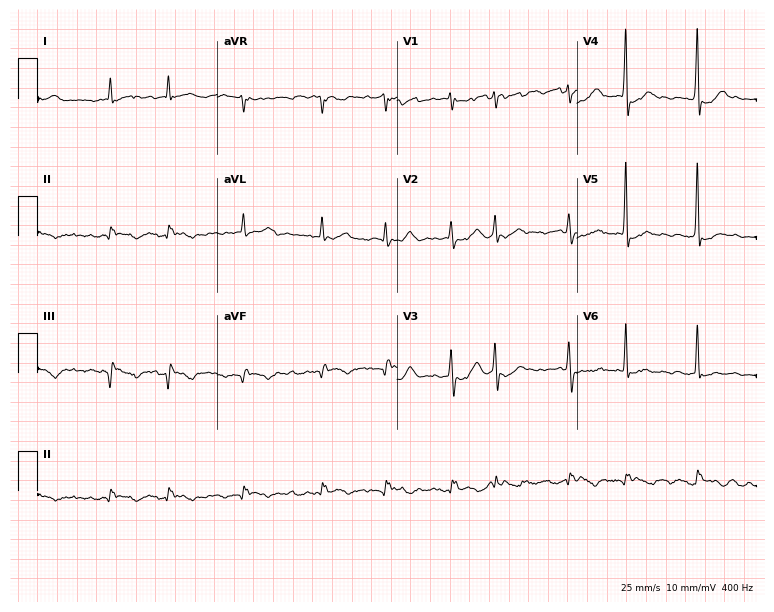
12-lead ECG (7.3-second recording at 400 Hz) from a male, 75 years old. Findings include atrial fibrillation (AF).